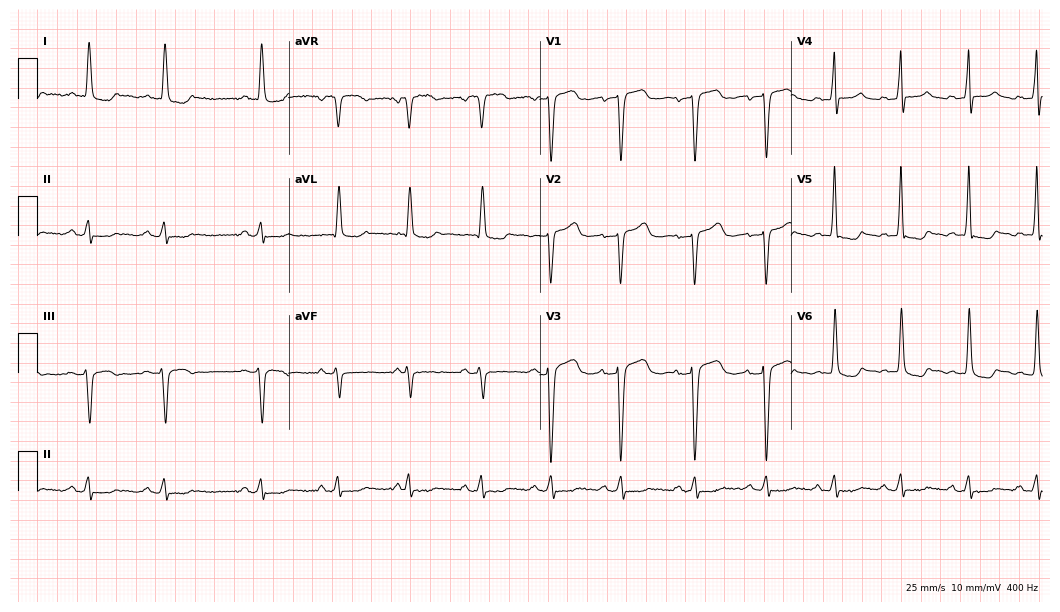
Standard 12-lead ECG recorded from an 80-year-old female patient. None of these six findings is recorded: first-degree AV block, right bundle branch block, left bundle branch block, sinus bradycardia, atrial fibrillation, sinus tachycardia.